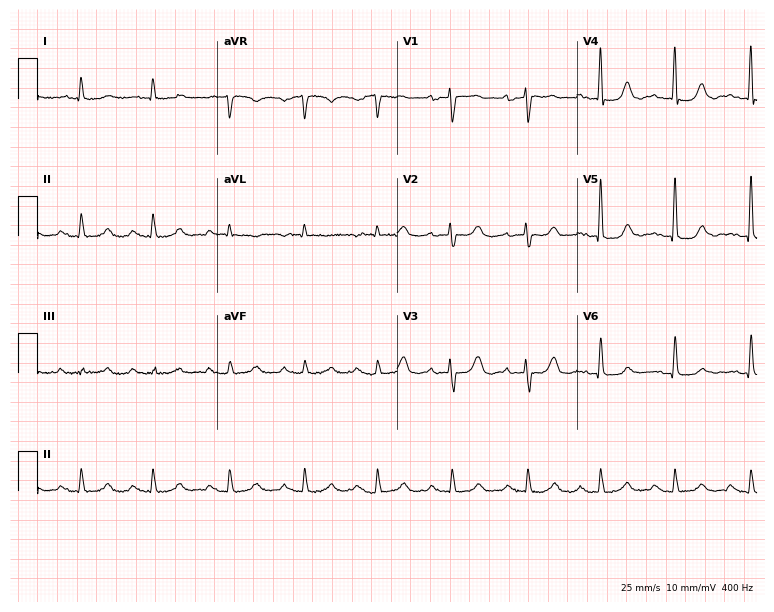
ECG — a female, 81 years old. Labelled as a normal ECG.